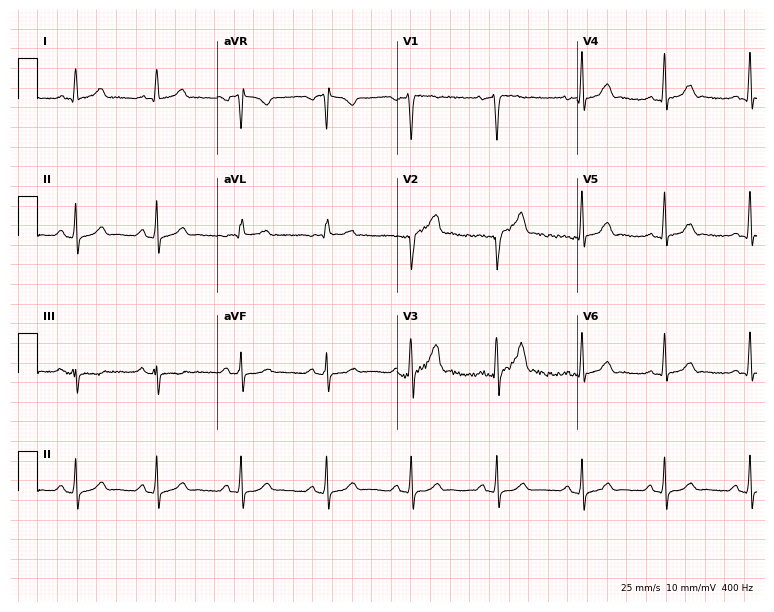
12-lead ECG from a female patient, 27 years old (7.3-second recording at 400 Hz). No first-degree AV block, right bundle branch block (RBBB), left bundle branch block (LBBB), sinus bradycardia, atrial fibrillation (AF) or sinus tachycardia recorded for this tracing.